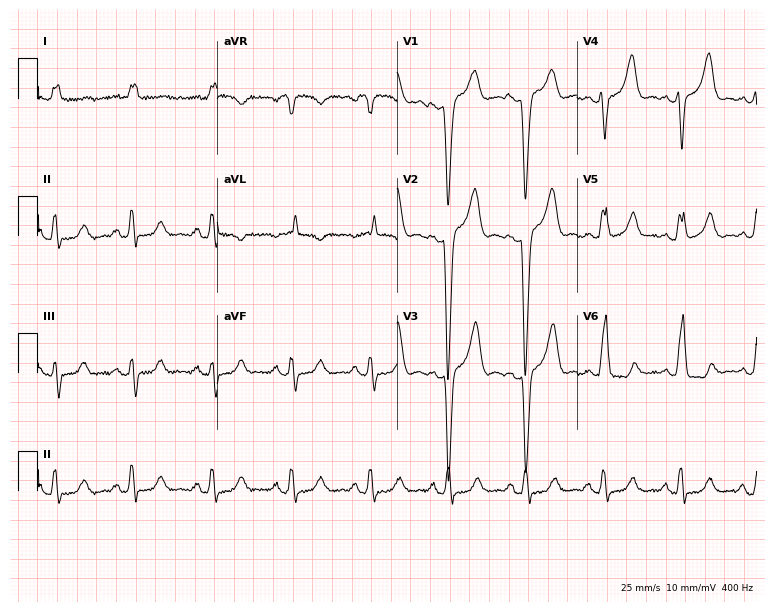
Standard 12-lead ECG recorded from a female, 57 years old (7.3-second recording at 400 Hz). The tracing shows left bundle branch block (LBBB).